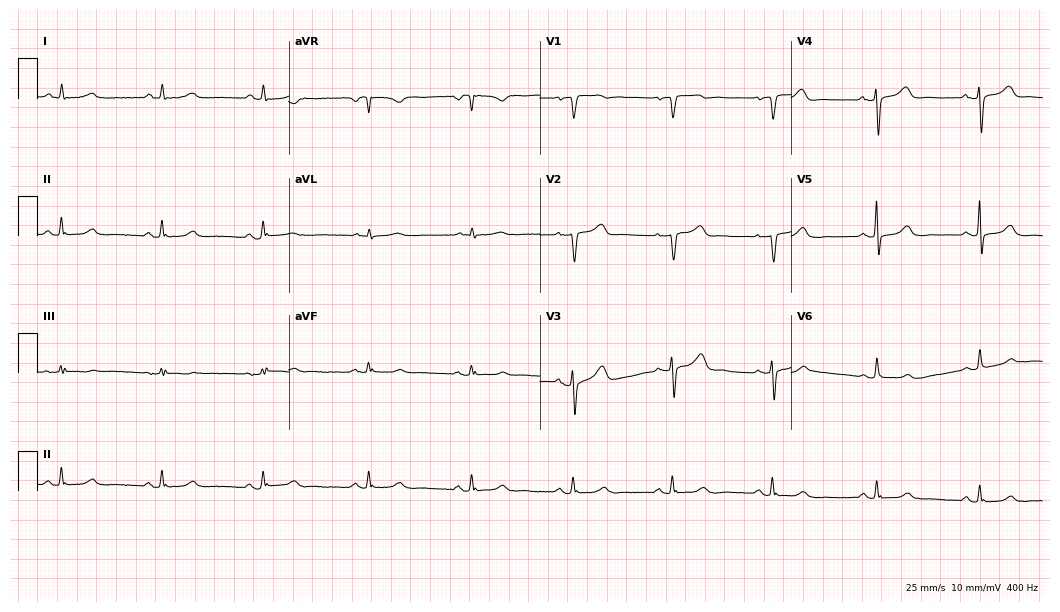
Resting 12-lead electrocardiogram (10.2-second recording at 400 Hz). Patient: a 64-year-old woman. Read as a normal ECG.